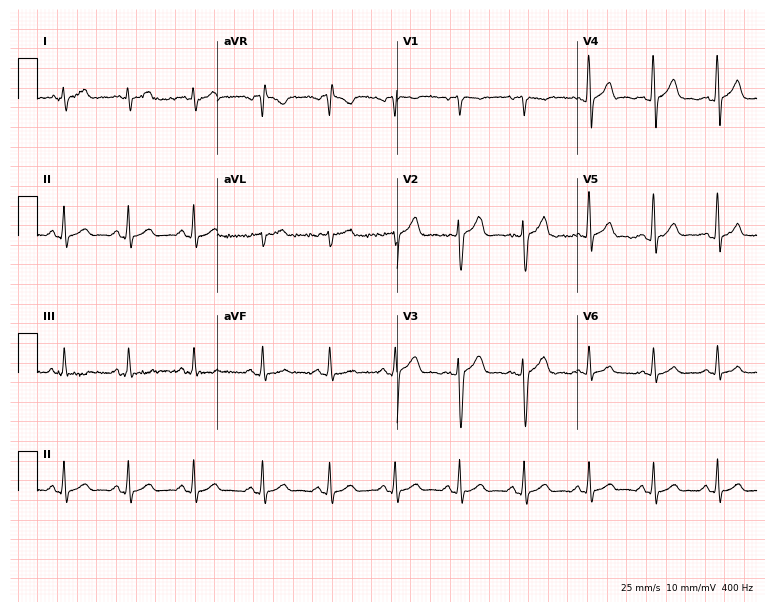
ECG — a 23-year-old male patient. Labelled as a normal ECG.